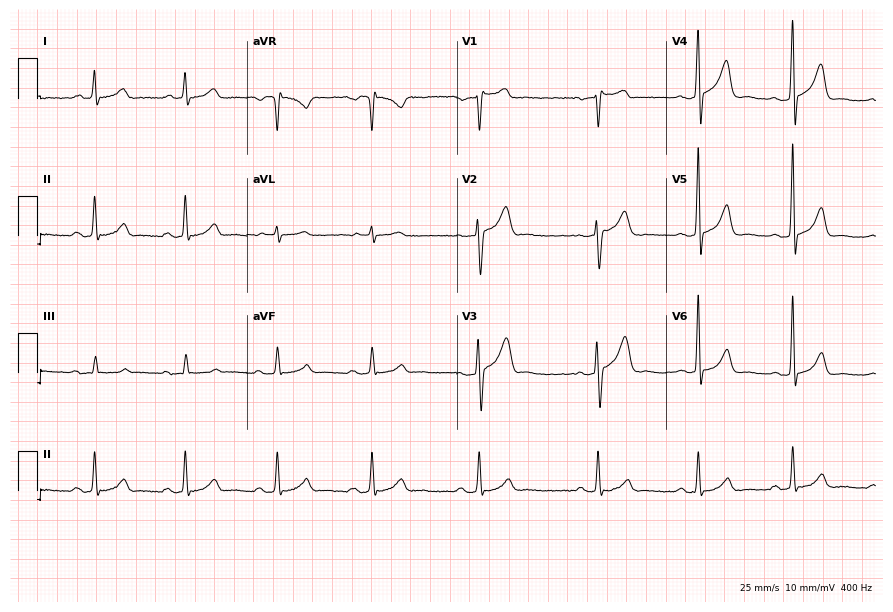
Resting 12-lead electrocardiogram (8.5-second recording at 400 Hz). Patient: a male, 39 years old. Read as a normal ECG.